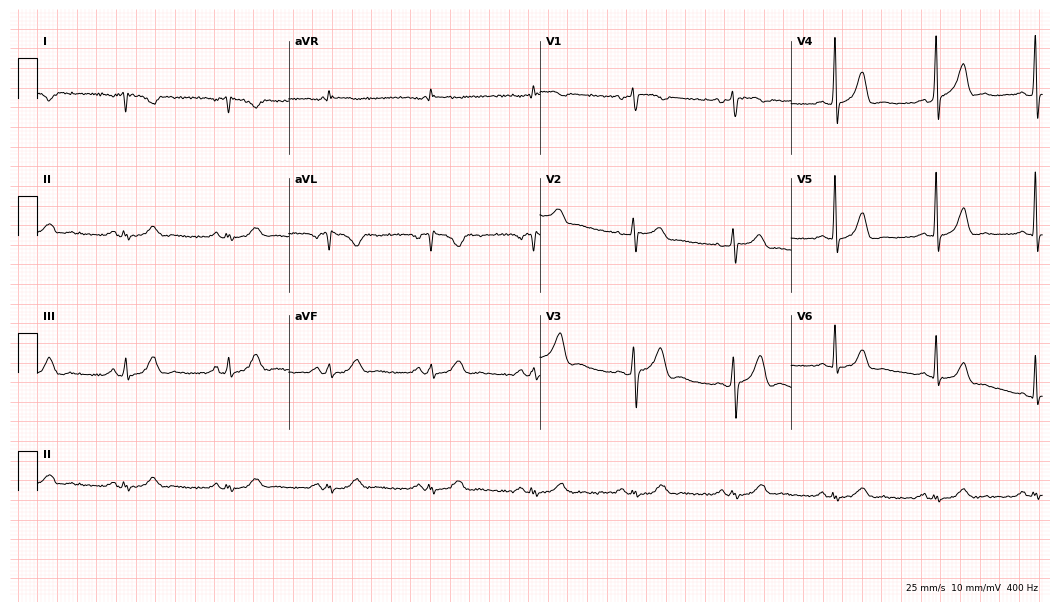
12-lead ECG from a man, 52 years old (10.2-second recording at 400 Hz). No first-degree AV block, right bundle branch block, left bundle branch block, sinus bradycardia, atrial fibrillation or sinus tachycardia recorded for this tracing. Other findings, if any, are not listed.